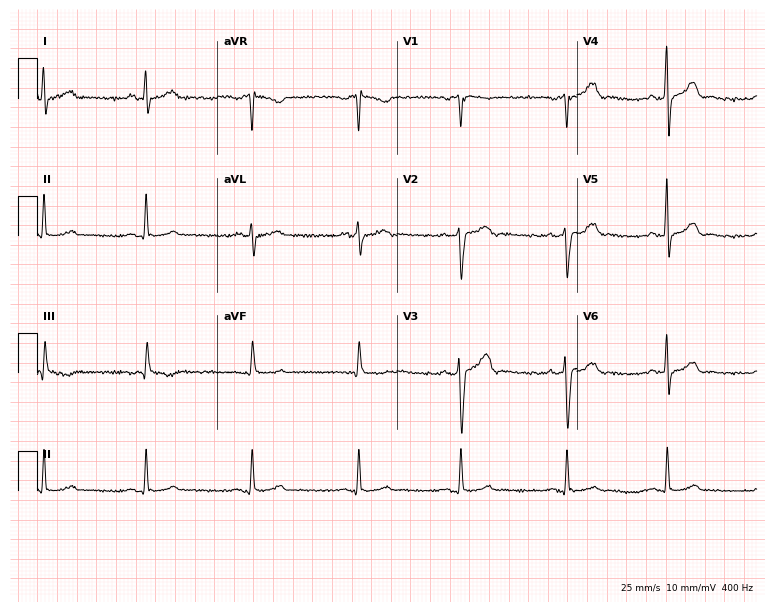
12-lead ECG from a 55-year-old male. No first-degree AV block, right bundle branch block, left bundle branch block, sinus bradycardia, atrial fibrillation or sinus tachycardia recorded for this tracing. Findings outside these six are not listed.